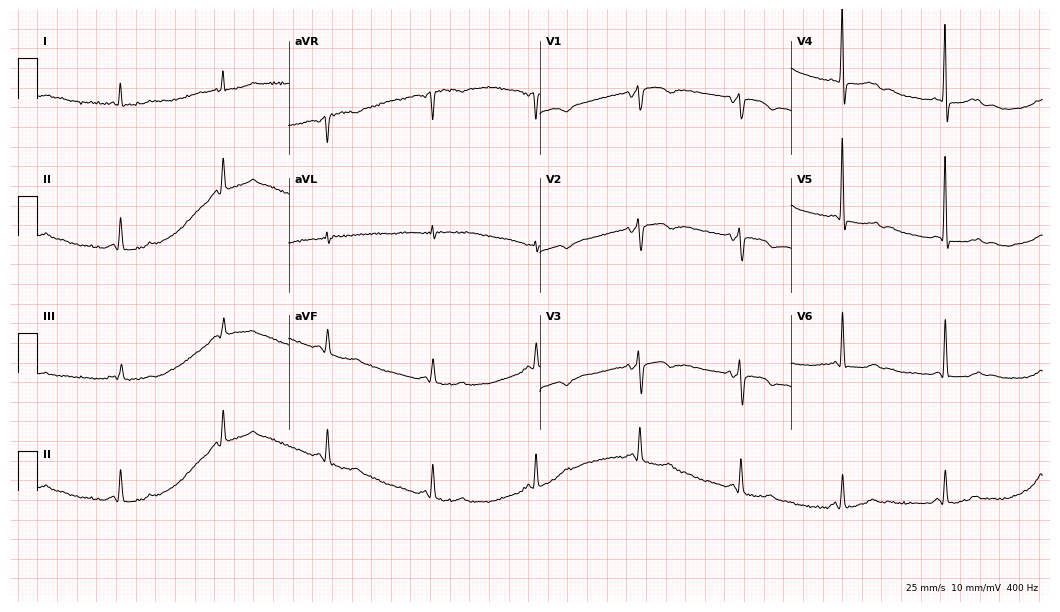
Electrocardiogram (10.2-second recording at 400 Hz), a 66-year-old female patient. Of the six screened findings (first-degree AV block, right bundle branch block (RBBB), left bundle branch block (LBBB), sinus bradycardia, atrial fibrillation (AF), sinus tachycardia), none is recorded.